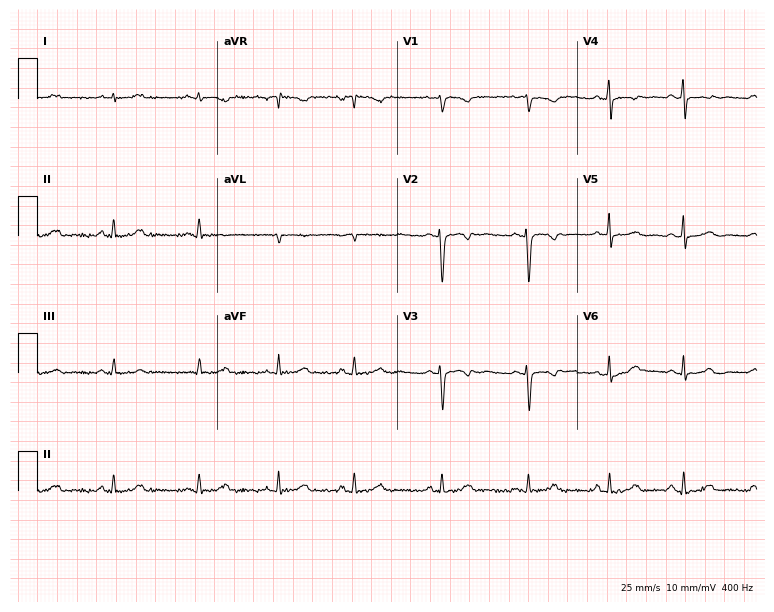
Electrocardiogram, a 25-year-old woman. Of the six screened findings (first-degree AV block, right bundle branch block, left bundle branch block, sinus bradycardia, atrial fibrillation, sinus tachycardia), none is recorded.